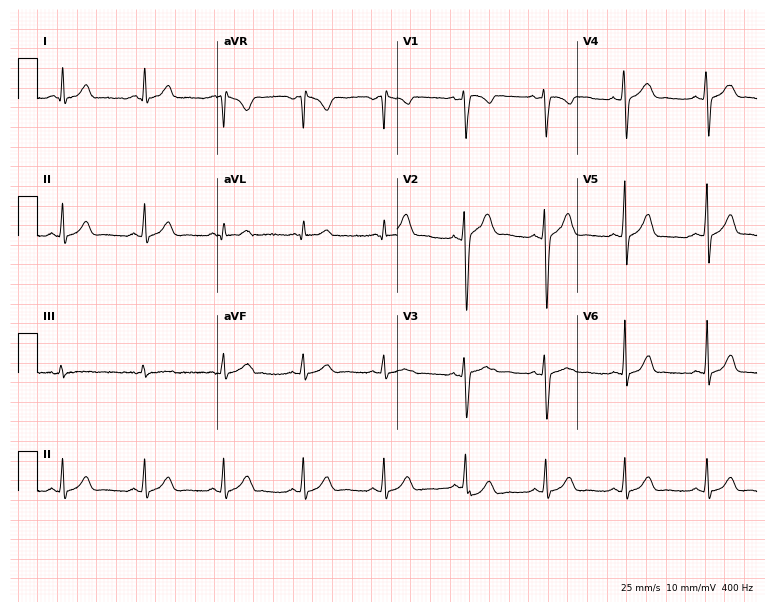
ECG (7.3-second recording at 400 Hz) — a man, 21 years old. Labelled as a normal ECG.